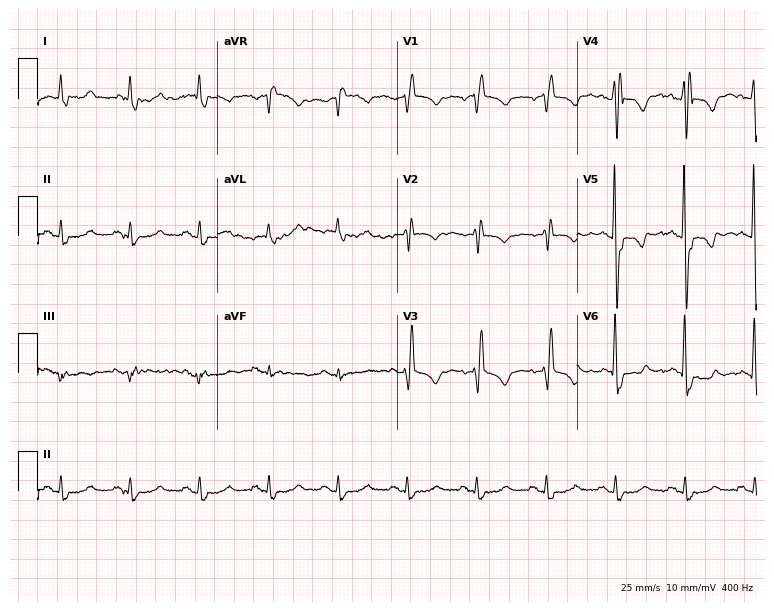
Standard 12-lead ECG recorded from a 71-year-old female patient (7.3-second recording at 400 Hz). The tracing shows right bundle branch block.